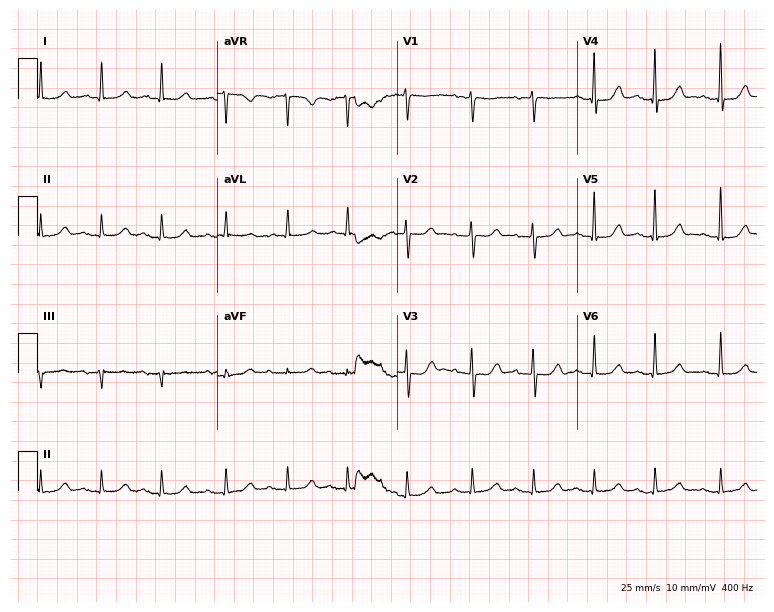
Standard 12-lead ECG recorded from a 74-year-old female patient. None of these six findings is recorded: first-degree AV block, right bundle branch block, left bundle branch block, sinus bradycardia, atrial fibrillation, sinus tachycardia.